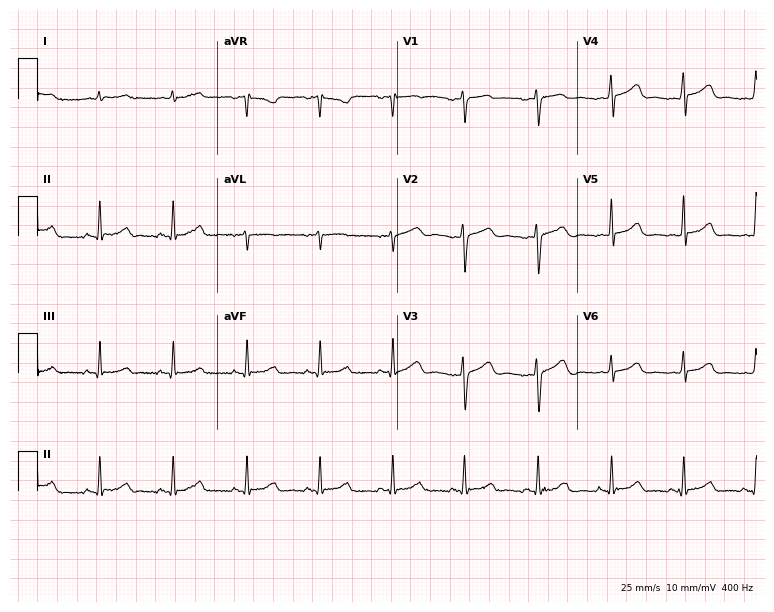
Standard 12-lead ECG recorded from a woman, 30 years old. Read as a normal ECG.